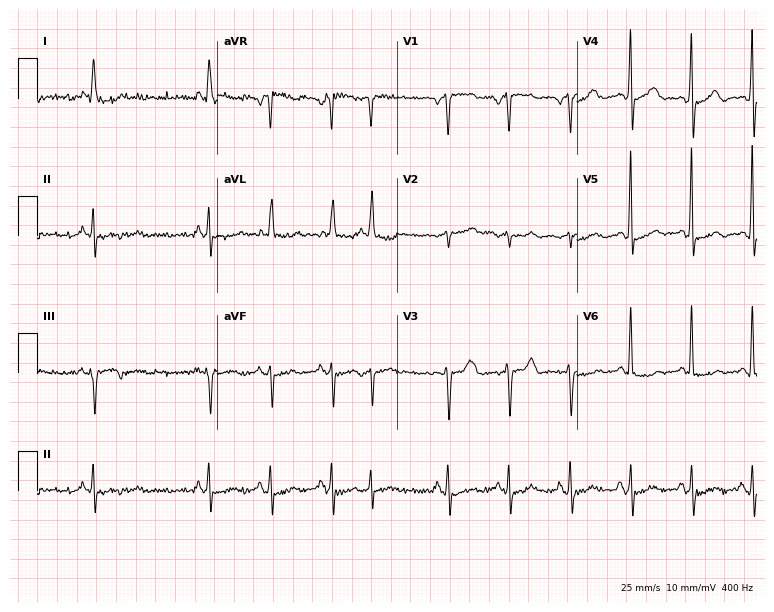
Standard 12-lead ECG recorded from a male patient, 77 years old (7.3-second recording at 400 Hz). None of these six findings is recorded: first-degree AV block, right bundle branch block, left bundle branch block, sinus bradycardia, atrial fibrillation, sinus tachycardia. Findings outside these six are not listed.